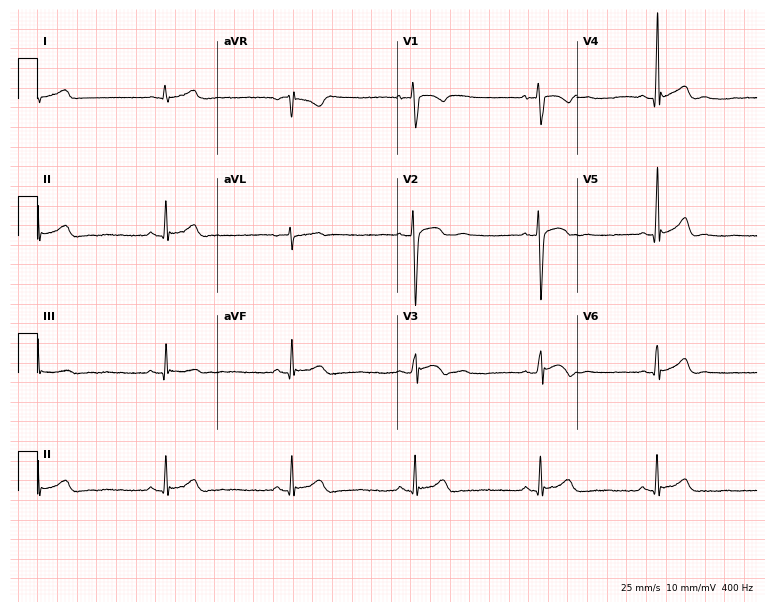
12-lead ECG from a man, 22 years old (7.3-second recording at 400 Hz). No first-degree AV block, right bundle branch block (RBBB), left bundle branch block (LBBB), sinus bradycardia, atrial fibrillation (AF) or sinus tachycardia recorded for this tracing. Findings outside these six are not listed.